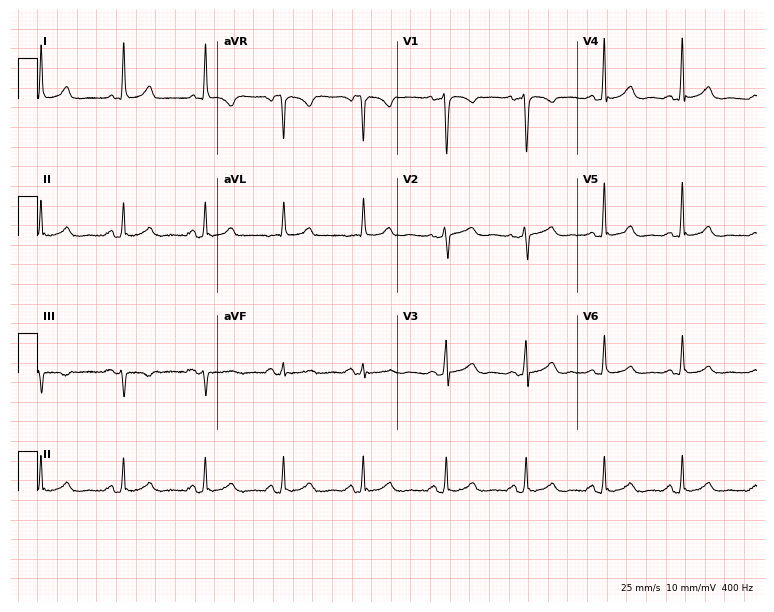
Resting 12-lead electrocardiogram (7.3-second recording at 400 Hz). Patient: a woman, 58 years old. Read as a normal ECG.